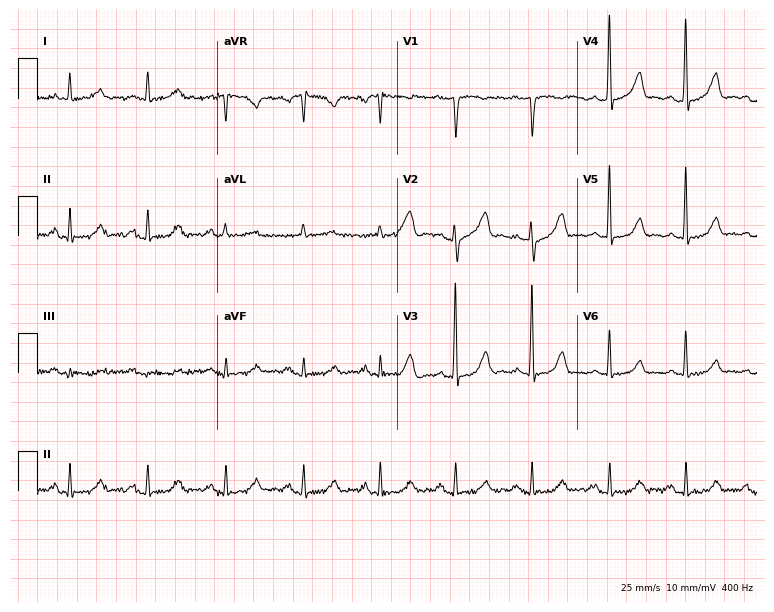
Resting 12-lead electrocardiogram (7.3-second recording at 400 Hz). Patient: a 55-year-old woman. Read as a normal ECG.